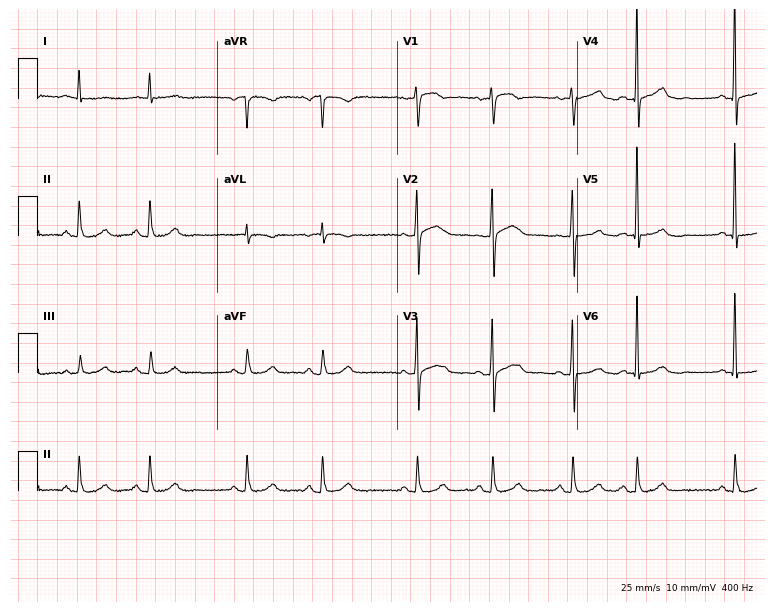
12-lead ECG from a woman, 81 years old. Screened for six findings — first-degree AV block, right bundle branch block (RBBB), left bundle branch block (LBBB), sinus bradycardia, atrial fibrillation (AF), sinus tachycardia — none is recorded.